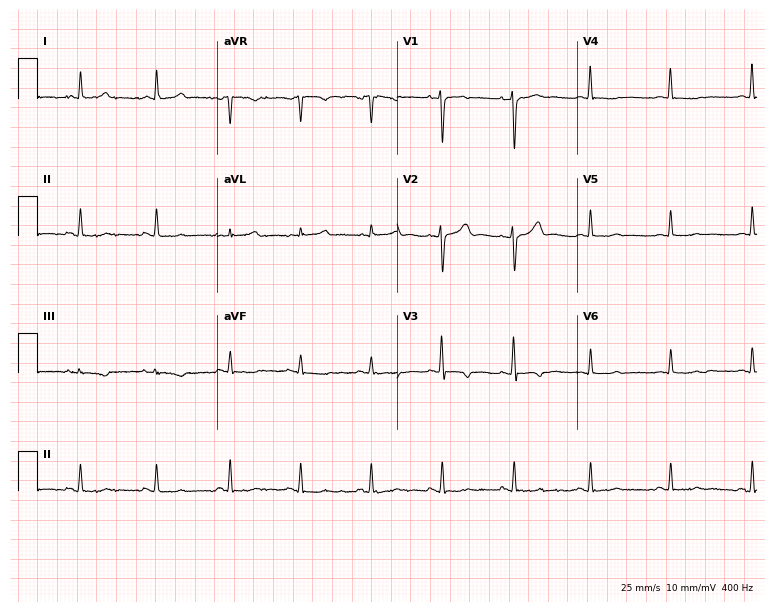
Resting 12-lead electrocardiogram (7.3-second recording at 400 Hz). Patient: a male, 36 years old. None of these six findings is recorded: first-degree AV block, right bundle branch block, left bundle branch block, sinus bradycardia, atrial fibrillation, sinus tachycardia.